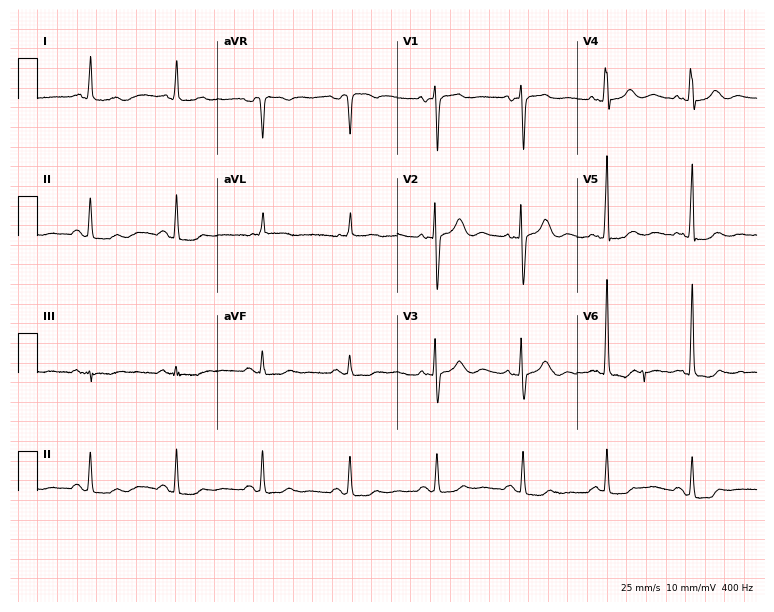
Resting 12-lead electrocardiogram. Patient: a female, 73 years old. Read as a normal ECG.